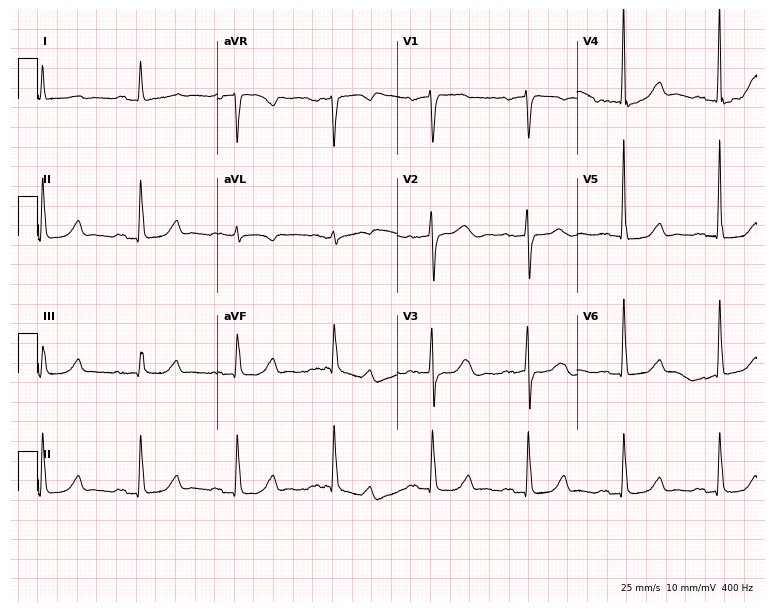
Standard 12-lead ECG recorded from a woman, 84 years old. The tracing shows first-degree AV block.